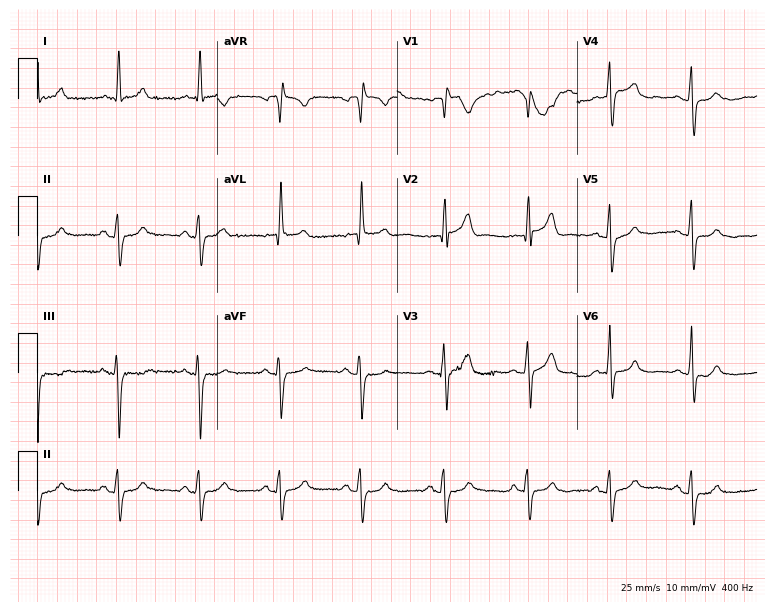
12-lead ECG from a male patient, 81 years old. Screened for six findings — first-degree AV block, right bundle branch block, left bundle branch block, sinus bradycardia, atrial fibrillation, sinus tachycardia — none is recorded.